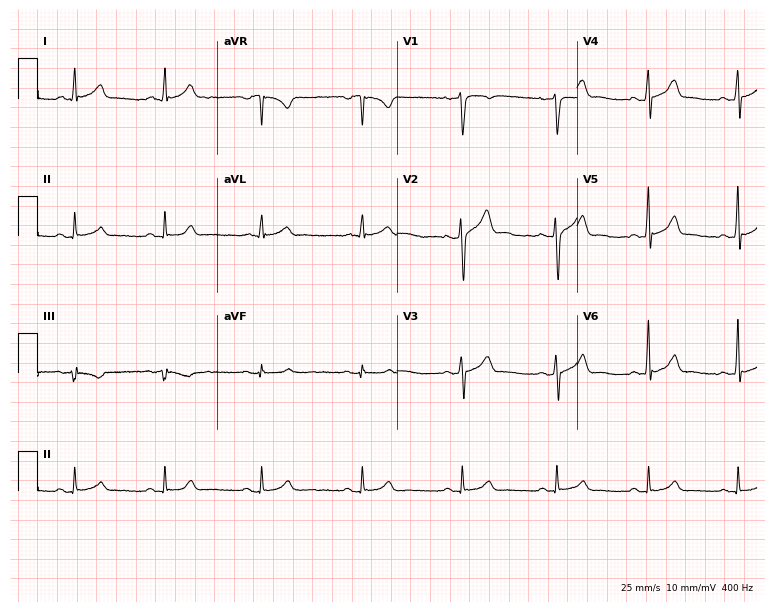
12-lead ECG from a male patient, 41 years old (7.3-second recording at 400 Hz). Recorded interpretation: within normal limits.